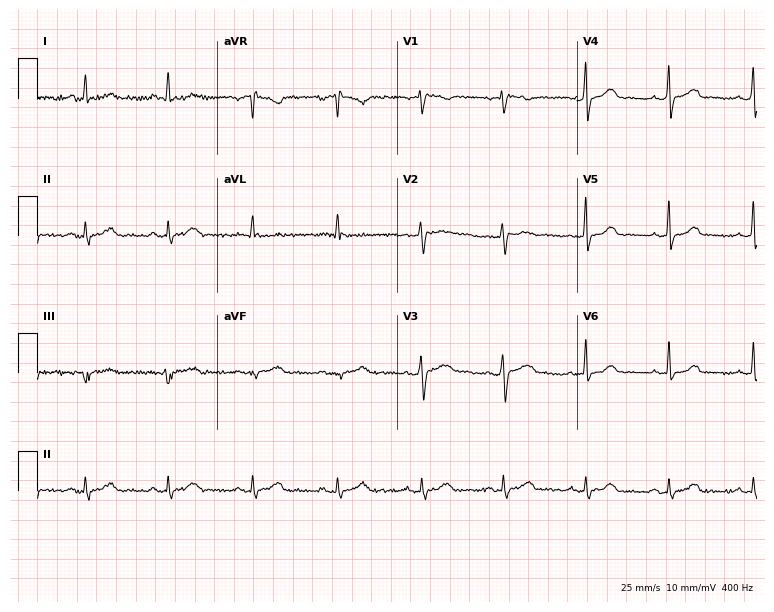
ECG — a 33-year-old female. Labelled as a normal ECG.